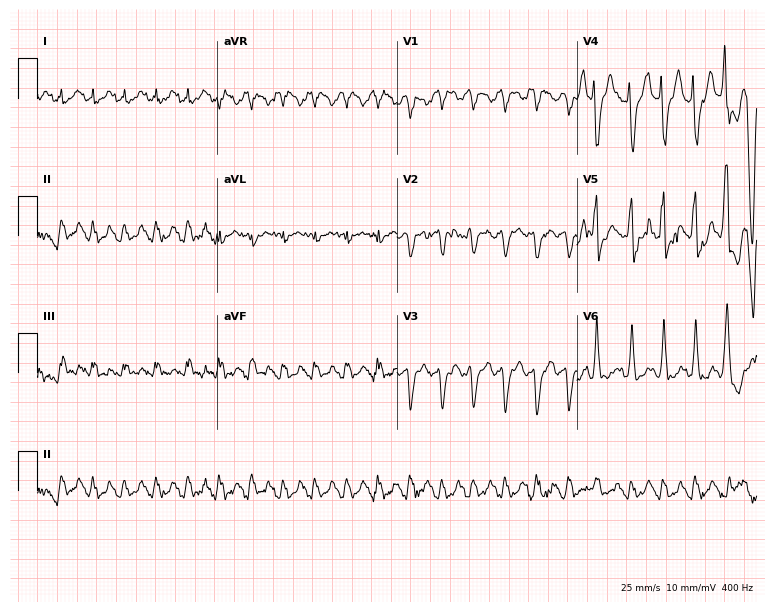
ECG — a 70-year-old male patient. Screened for six findings — first-degree AV block, right bundle branch block (RBBB), left bundle branch block (LBBB), sinus bradycardia, atrial fibrillation (AF), sinus tachycardia — none is recorded. Findings outside these six are not listed.